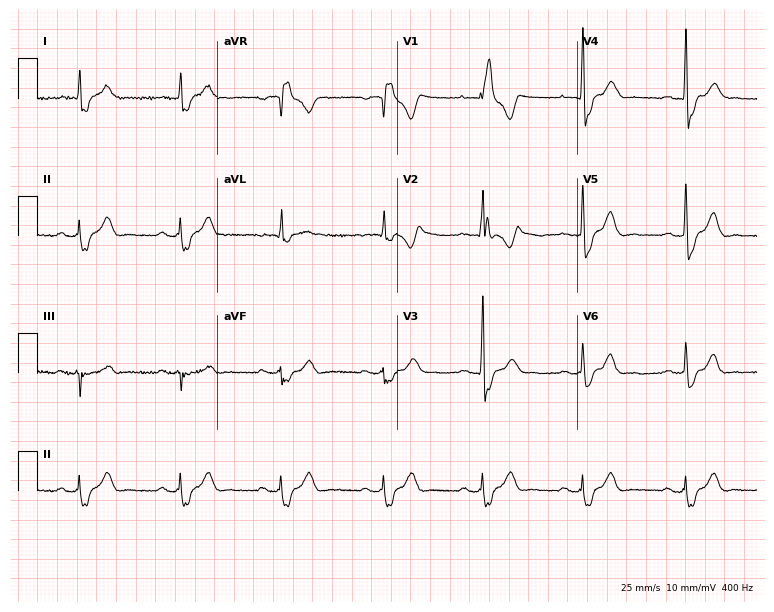
Standard 12-lead ECG recorded from a male, 64 years old (7.3-second recording at 400 Hz). None of these six findings is recorded: first-degree AV block, right bundle branch block, left bundle branch block, sinus bradycardia, atrial fibrillation, sinus tachycardia. Other findings, if any, are not listed.